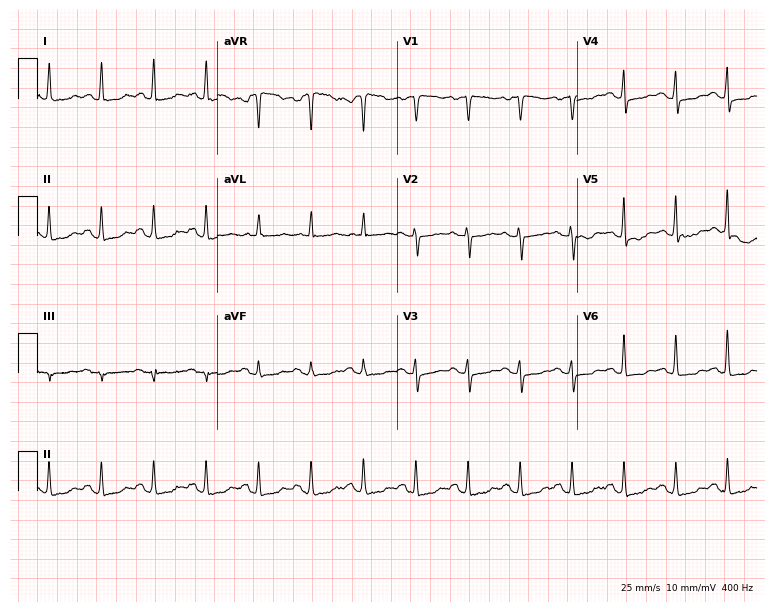
Resting 12-lead electrocardiogram. Patient: a 57-year-old woman. The tracing shows sinus tachycardia (a sinus rate of 100 beats per minute or more).